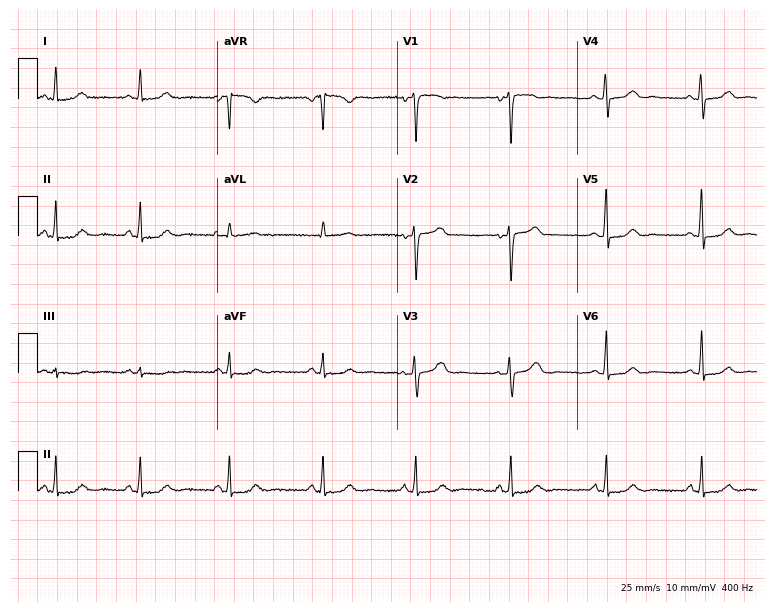
Resting 12-lead electrocardiogram (7.3-second recording at 400 Hz). Patient: a female, 55 years old. None of these six findings is recorded: first-degree AV block, right bundle branch block, left bundle branch block, sinus bradycardia, atrial fibrillation, sinus tachycardia. Only these six findings were labelled.